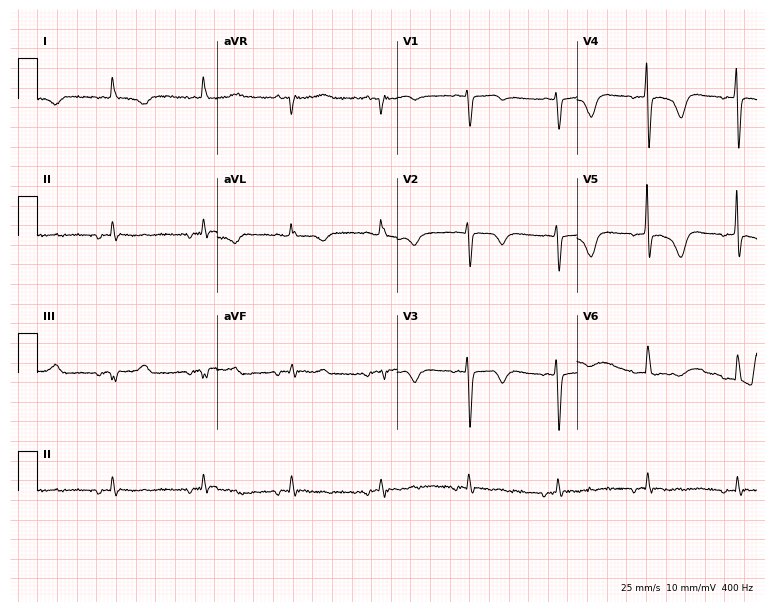
ECG — a 77-year-old woman. Screened for six findings — first-degree AV block, right bundle branch block, left bundle branch block, sinus bradycardia, atrial fibrillation, sinus tachycardia — none is recorded.